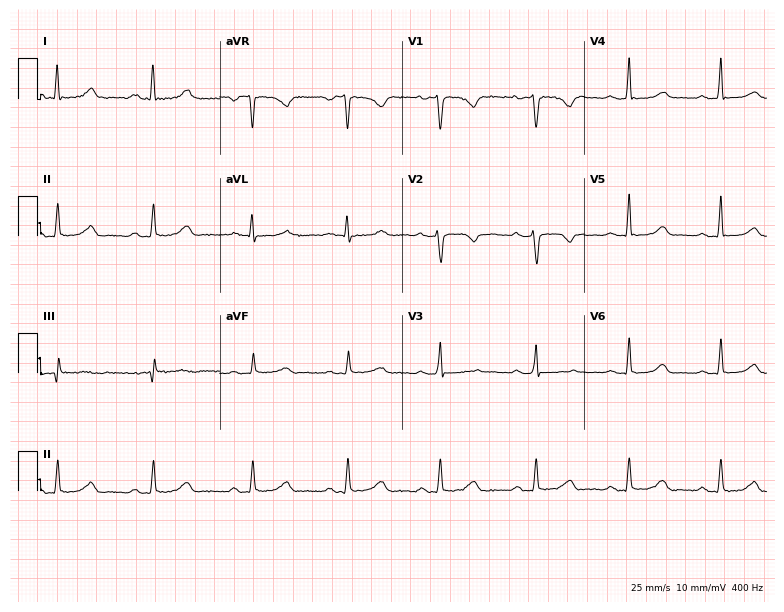
Resting 12-lead electrocardiogram (7.4-second recording at 400 Hz). Patient: a female, 33 years old. None of these six findings is recorded: first-degree AV block, right bundle branch block (RBBB), left bundle branch block (LBBB), sinus bradycardia, atrial fibrillation (AF), sinus tachycardia. Only these six findings were labelled.